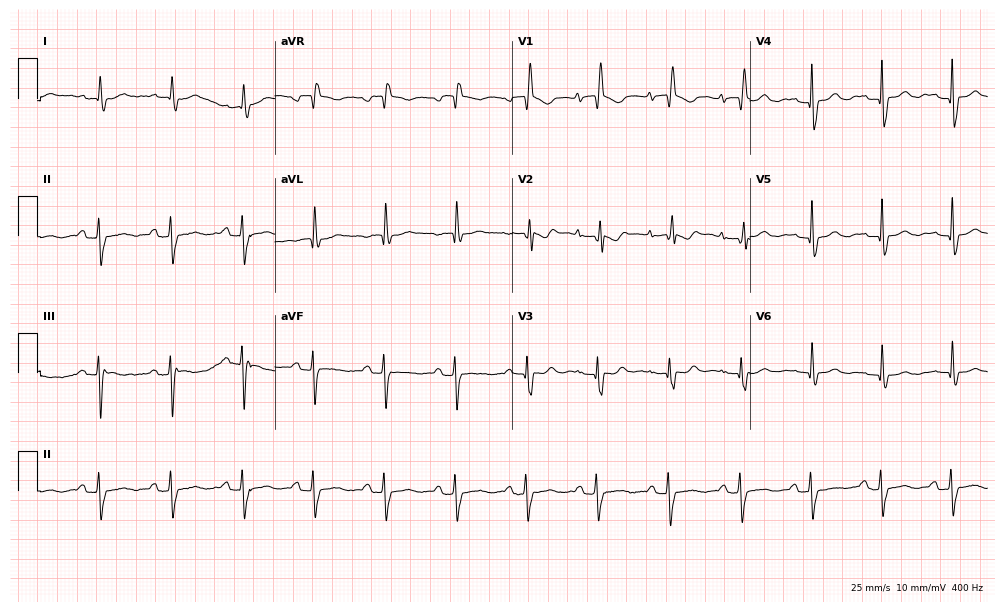
12-lead ECG from a 64-year-old female patient. No first-degree AV block, right bundle branch block, left bundle branch block, sinus bradycardia, atrial fibrillation or sinus tachycardia recorded for this tracing.